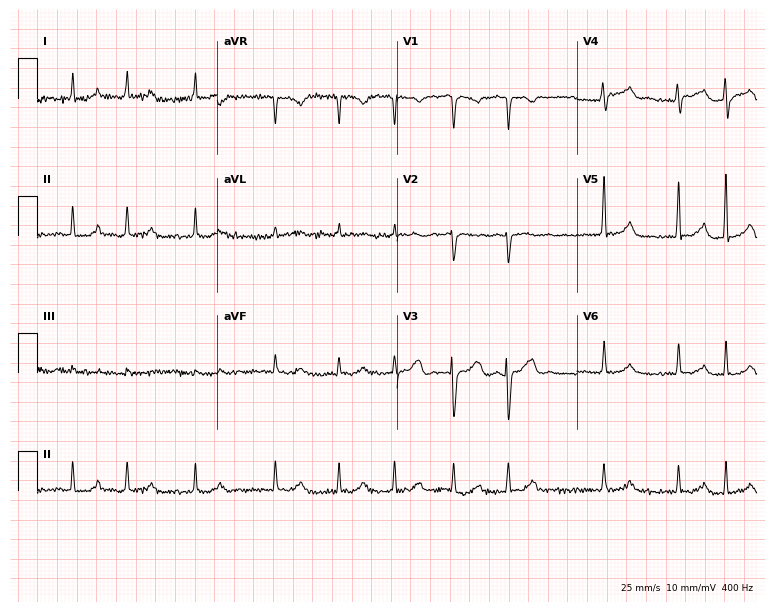
12-lead ECG from a woman, 74 years old. Shows atrial fibrillation (AF).